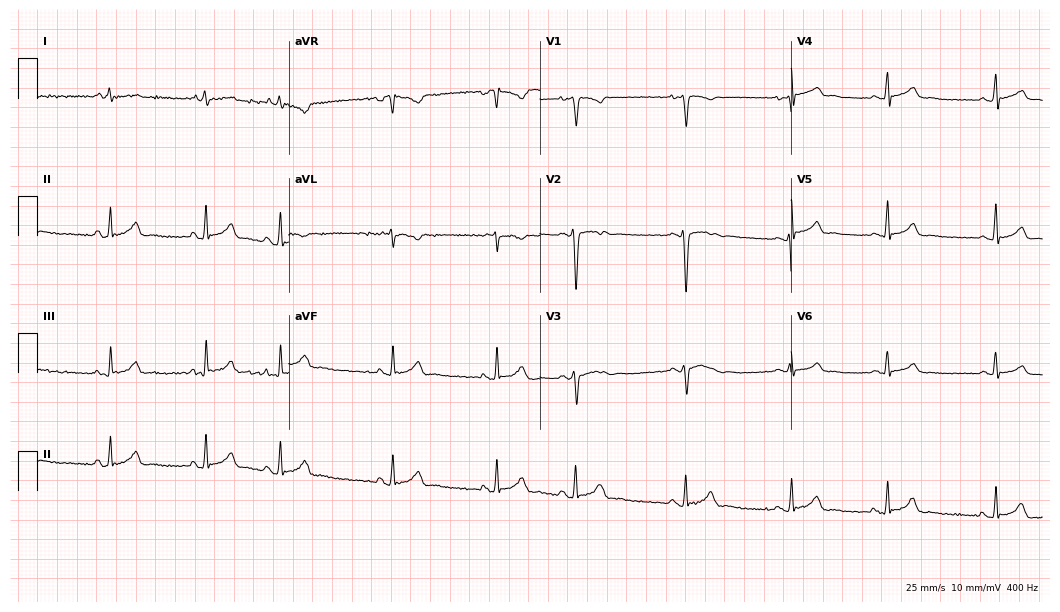
12-lead ECG from a 17-year-old woman. Screened for six findings — first-degree AV block, right bundle branch block, left bundle branch block, sinus bradycardia, atrial fibrillation, sinus tachycardia — none is recorded.